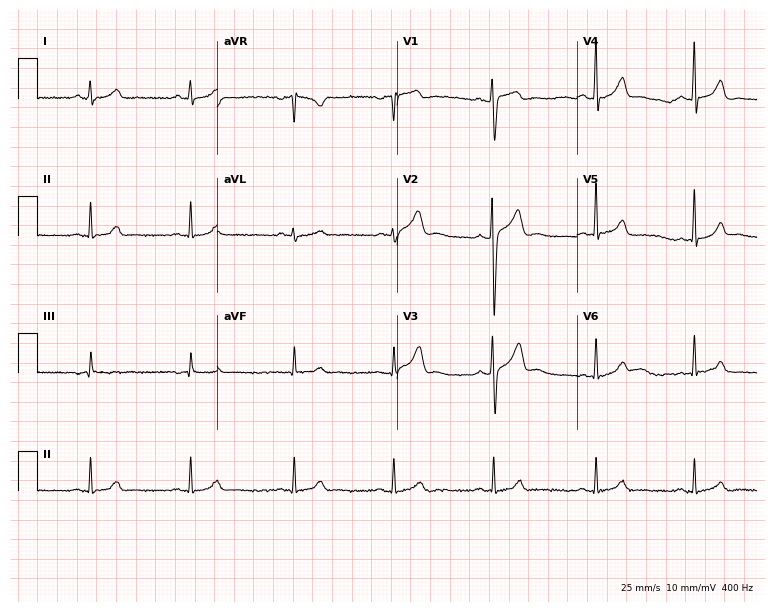
Resting 12-lead electrocardiogram (7.3-second recording at 400 Hz). Patient: a 32-year-old male. None of these six findings is recorded: first-degree AV block, right bundle branch block, left bundle branch block, sinus bradycardia, atrial fibrillation, sinus tachycardia. Only these six findings were labelled.